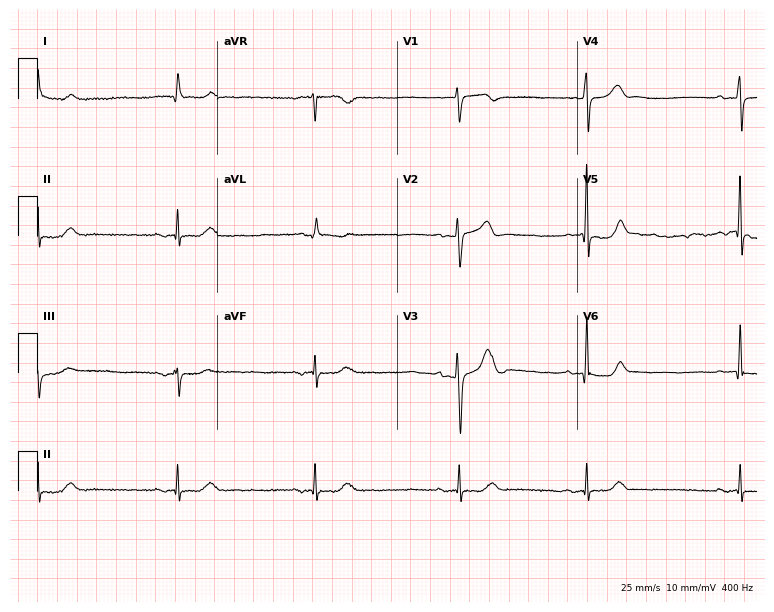
12-lead ECG (7.3-second recording at 400 Hz) from a male patient, 82 years old. Findings include sinus bradycardia (a sinus rate of 50 beats per minute or less).